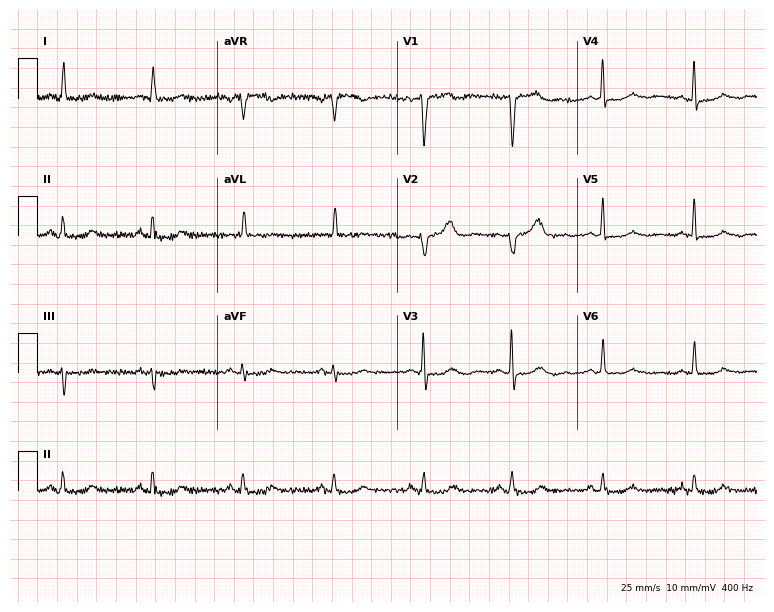
12-lead ECG from a 75-year-old female patient (7.3-second recording at 400 Hz). No first-degree AV block, right bundle branch block, left bundle branch block, sinus bradycardia, atrial fibrillation or sinus tachycardia recorded for this tracing. Findings outside these six are not listed.